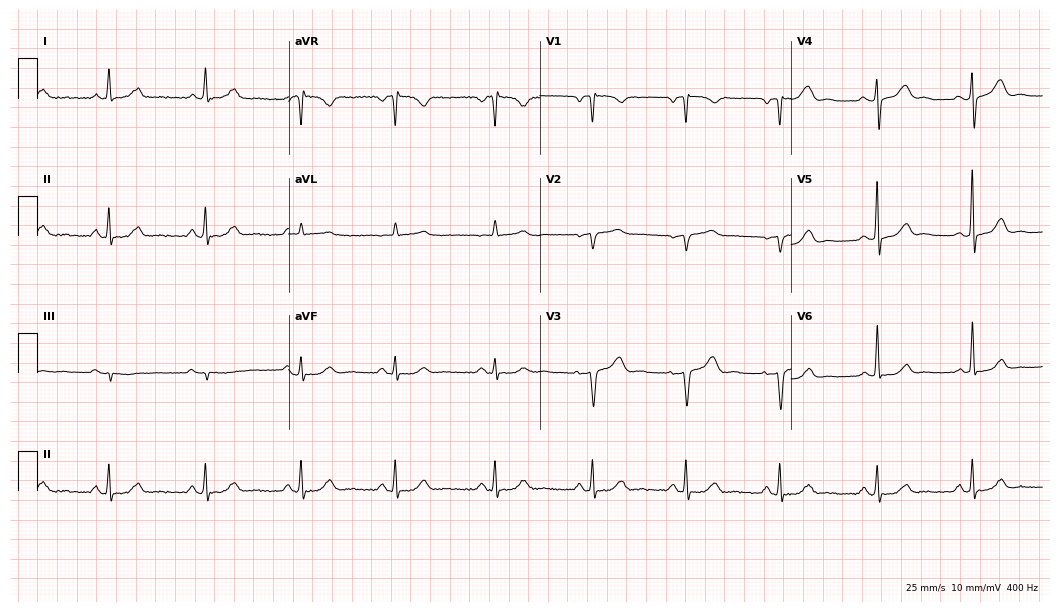
Resting 12-lead electrocardiogram (10.2-second recording at 400 Hz). Patient: a female, 52 years old. Read as a normal ECG.